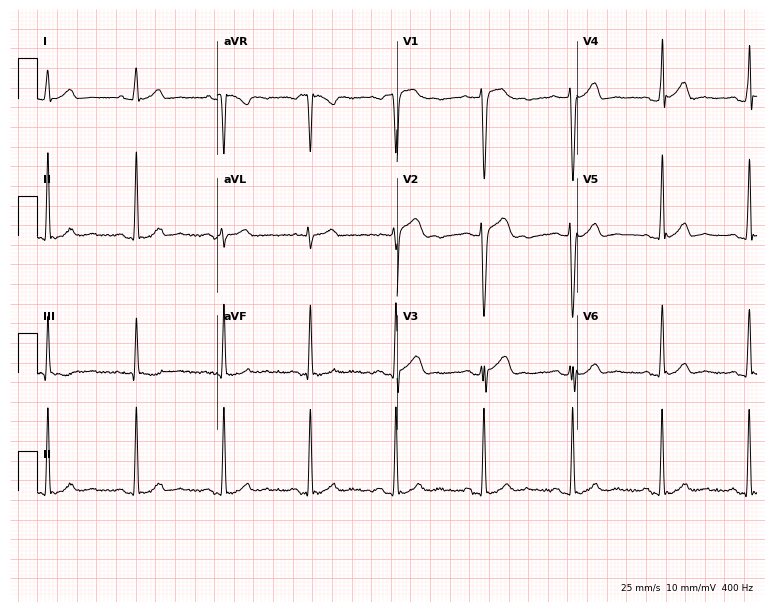
12-lead ECG (7.3-second recording at 400 Hz) from a 21-year-old man. Labelled as a normal ECG.